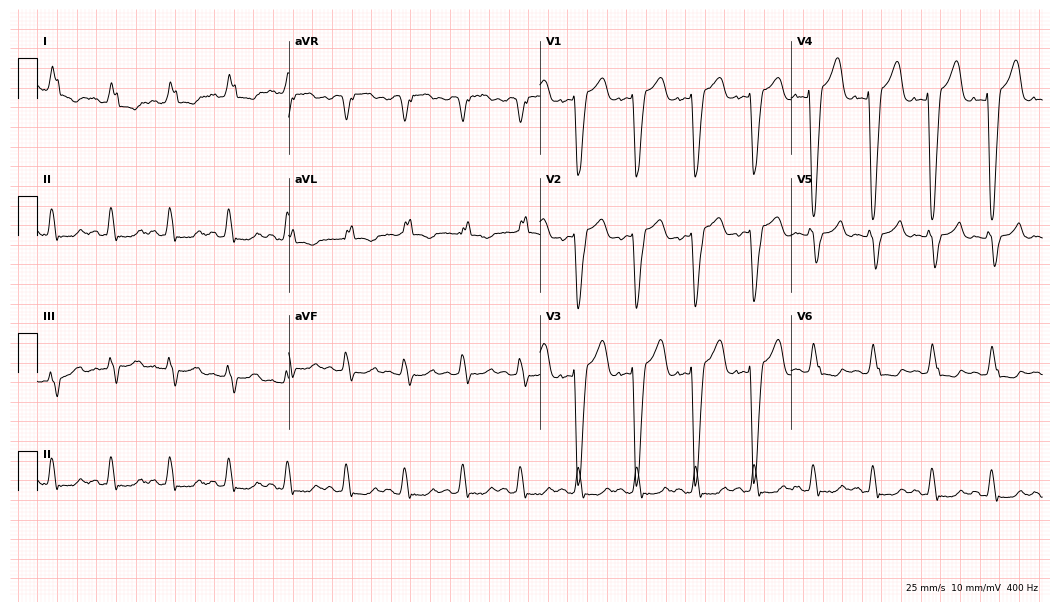
Standard 12-lead ECG recorded from a woman, 42 years old (10.2-second recording at 400 Hz). The tracing shows left bundle branch block (LBBB), sinus tachycardia (a sinus rate of 100 beats per minute or more).